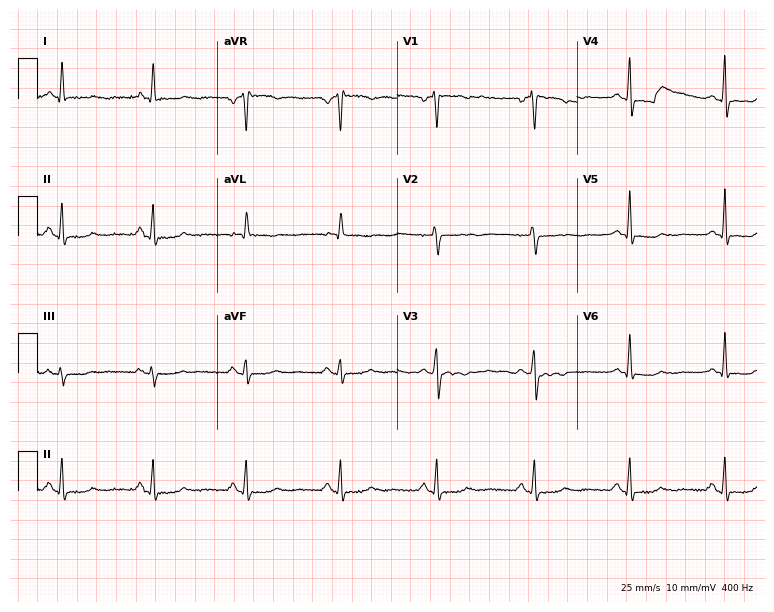
Standard 12-lead ECG recorded from a 55-year-old female. None of these six findings is recorded: first-degree AV block, right bundle branch block (RBBB), left bundle branch block (LBBB), sinus bradycardia, atrial fibrillation (AF), sinus tachycardia.